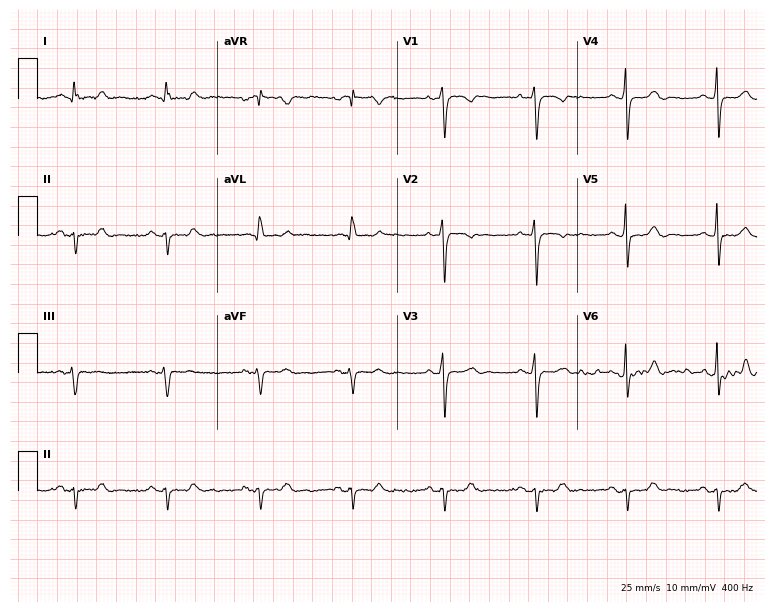
Standard 12-lead ECG recorded from a 68-year-old woman (7.3-second recording at 400 Hz). None of these six findings is recorded: first-degree AV block, right bundle branch block (RBBB), left bundle branch block (LBBB), sinus bradycardia, atrial fibrillation (AF), sinus tachycardia.